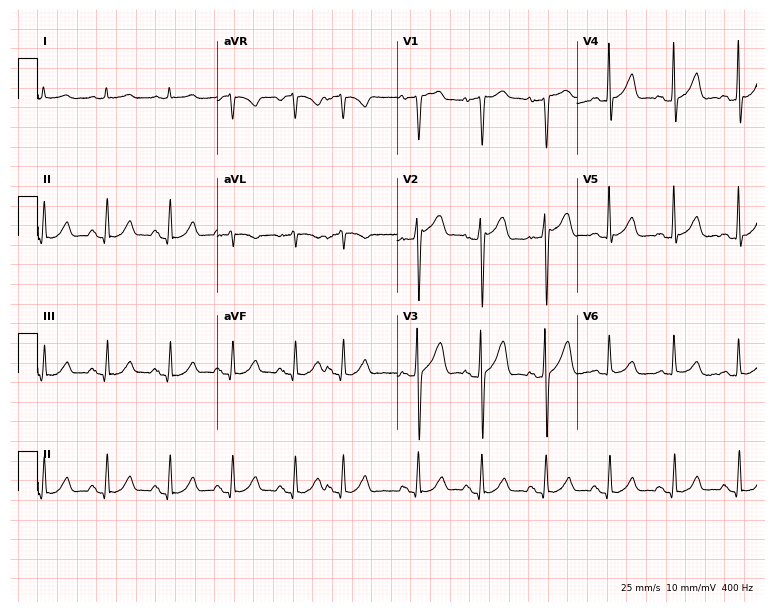
Standard 12-lead ECG recorded from a 67-year-old male (7.3-second recording at 400 Hz). Read as a normal ECG.